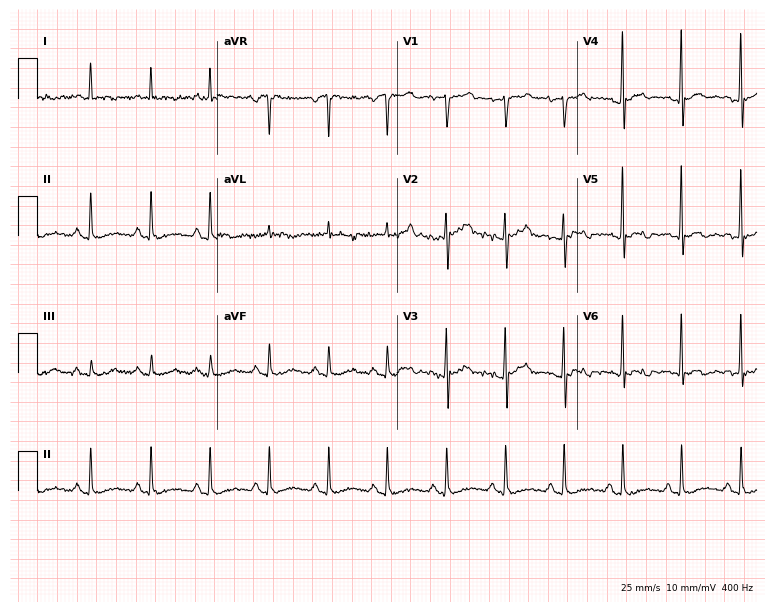
12-lead ECG from a 50-year-old male patient. Screened for six findings — first-degree AV block, right bundle branch block (RBBB), left bundle branch block (LBBB), sinus bradycardia, atrial fibrillation (AF), sinus tachycardia — none is recorded.